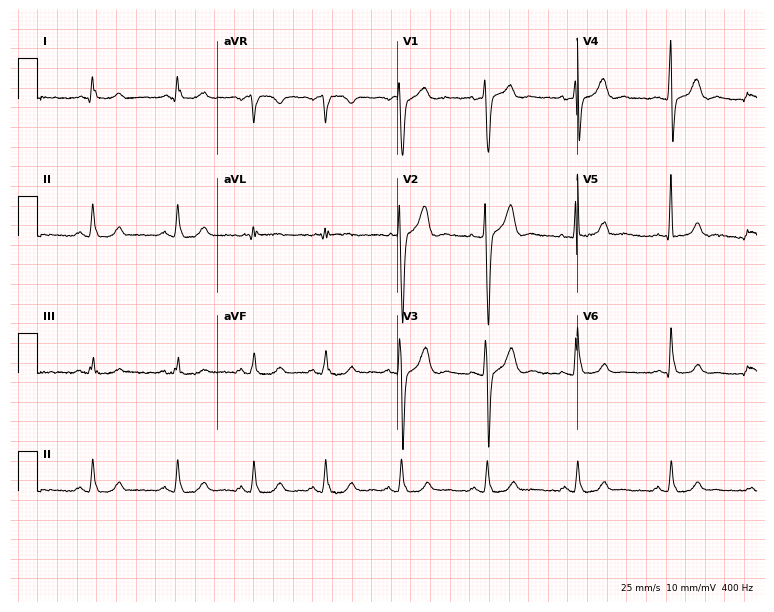
Resting 12-lead electrocardiogram (7.3-second recording at 400 Hz). Patient: a male, 48 years old. Read as a normal ECG.